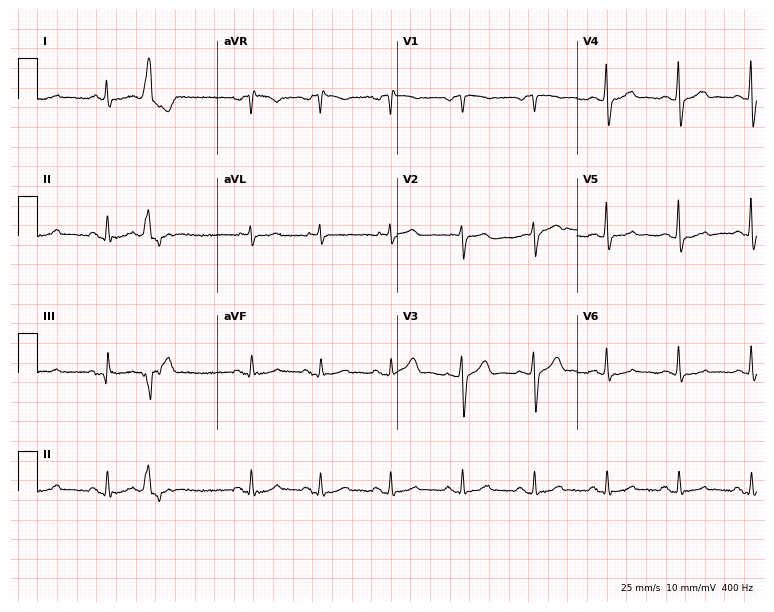
Electrocardiogram (7.3-second recording at 400 Hz), an 80-year-old male. Of the six screened findings (first-degree AV block, right bundle branch block, left bundle branch block, sinus bradycardia, atrial fibrillation, sinus tachycardia), none is recorded. Only these six findings were labelled.